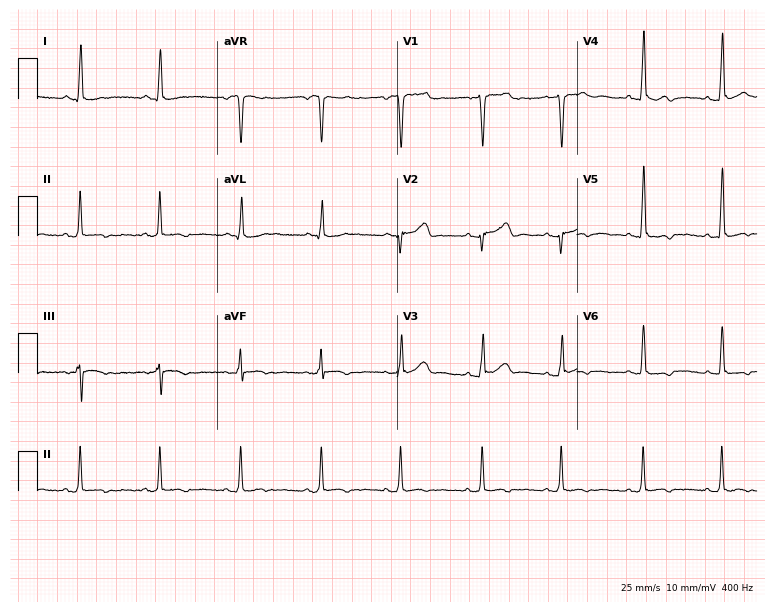
ECG — a man, 36 years old. Screened for six findings — first-degree AV block, right bundle branch block, left bundle branch block, sinus bradycardia, atrial fibrillation, sinus tachycardia — none is recorded. Only these six findings were labelled.